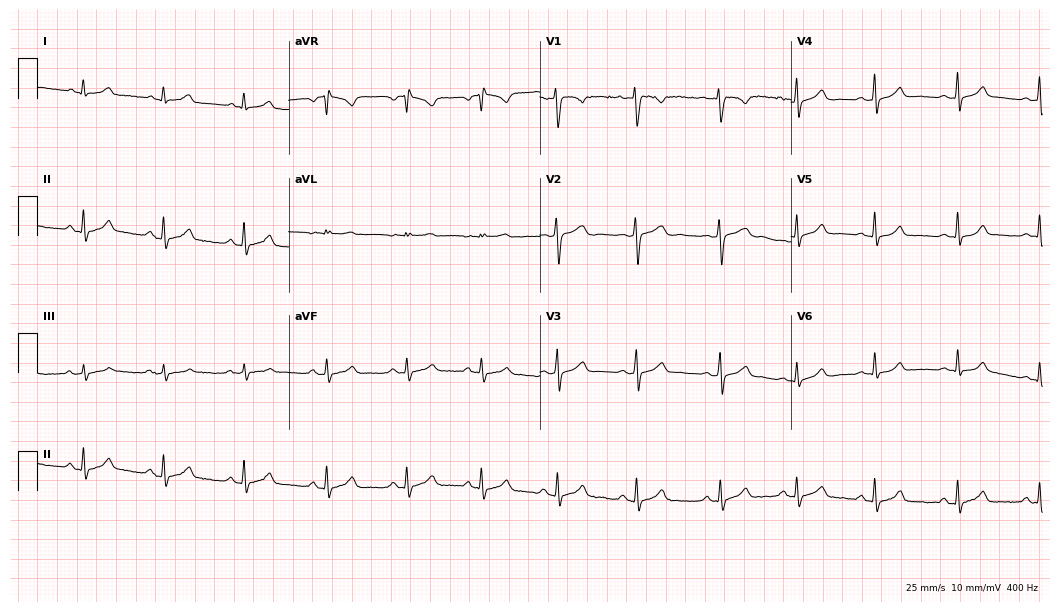
ECG (10.2-second recording at 400 Hz) — a woman, 25 years old. Labelled as a normal ECG.